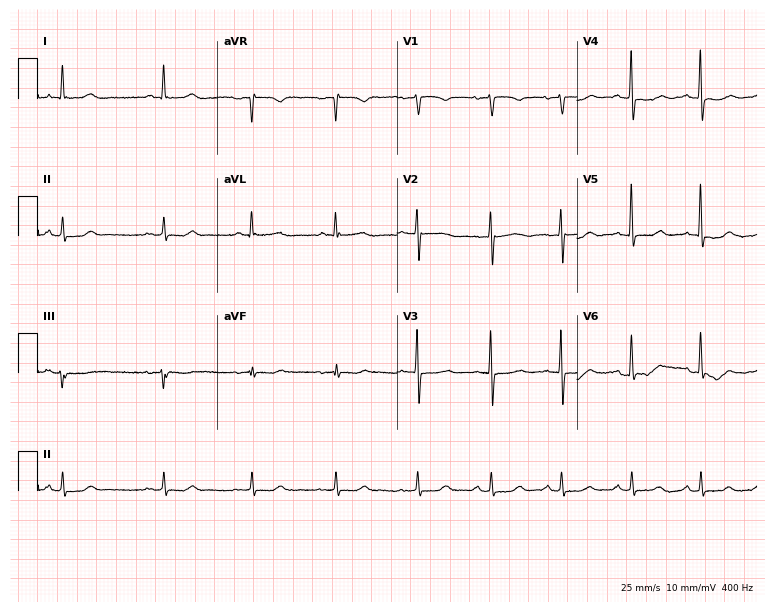
12-lead ECG from a 70-year-old female. No first-degree AV block, right bundle branch block (RBBB), left bundle branch block (LBBB), sinus bradycardia, atrial fibrillation (AF) or sinus tachycardia recorded for this tracing. Findings outside these six are not listed.